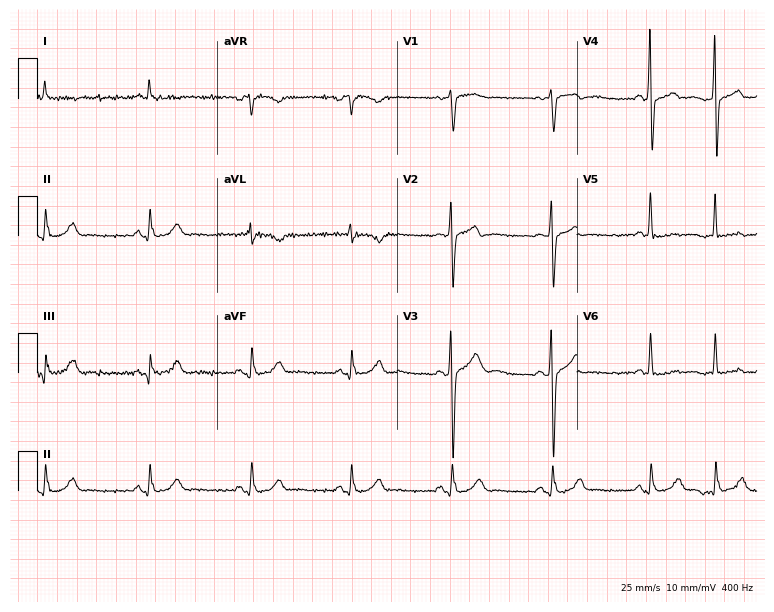
Standard 12-lead ECG recorded from a 72-year-old male patient (7.3-second recording at 400 Hz). None of these six findings is recorded: first-degree AV block, right bundle branch block, left bundle branch block, sinus bradycardia, atrial fibrillation, sinus tachycardia. Findings outside these six are not listed.